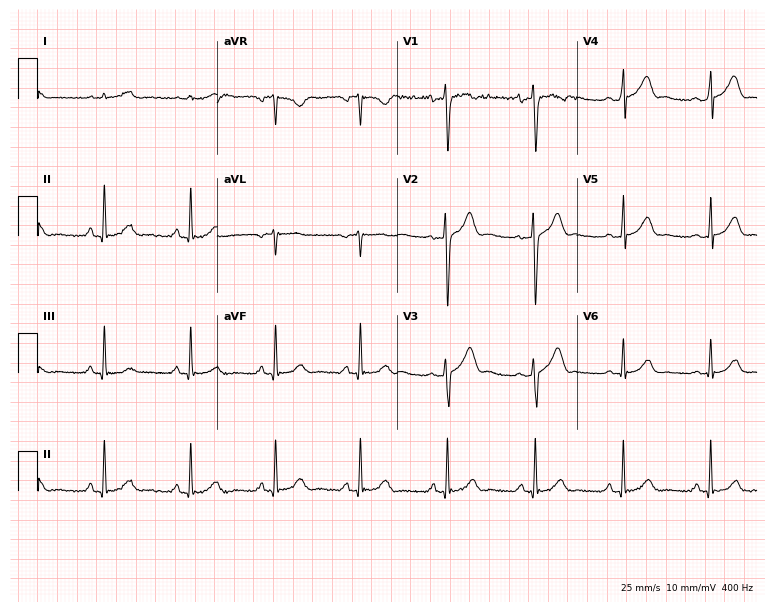
Electrocardiogram, a man, 30 years old. Overall reading on record: normal ECG.